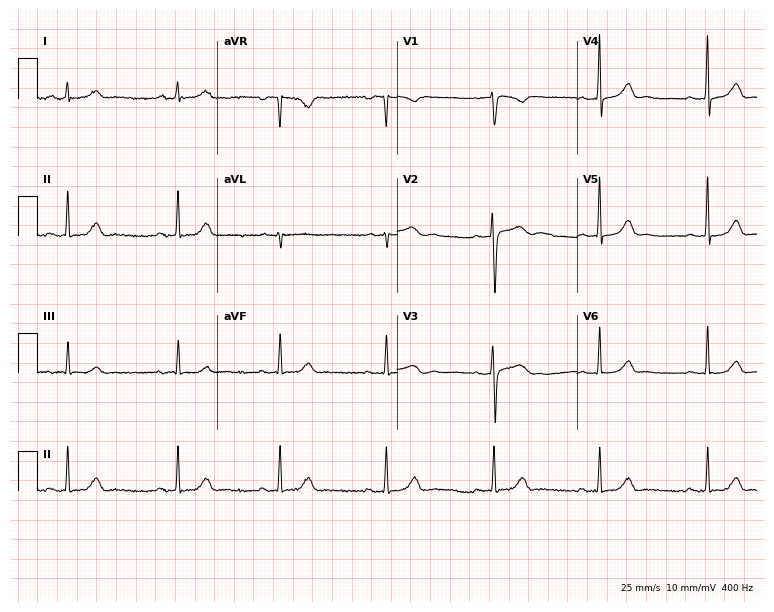
12-lead ECG from a woman, 28 years old. Recorded interpretation: within normal limits.